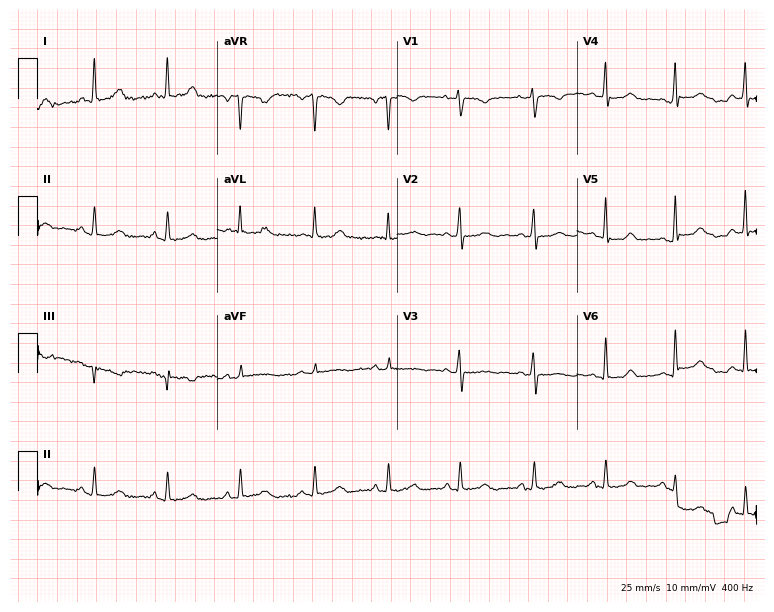
ECG (7.3-second recording at 400 Hz) — a 55-year-old female patient. Screened for six findings — first-degree AV block, right bundle branch block (RBBB), left bundle branch block (LBBB), sinus bradycardia, atrial fibrillation (AF), sinus tachycardia — none is recorded. Other findings, if any, are not listed.